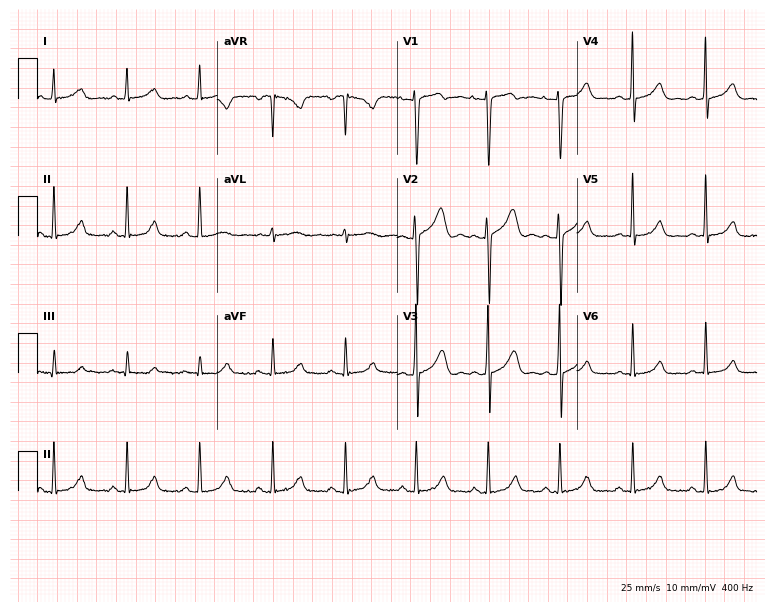
12-lead ECG from a female, 30 years old (7.3-second recording at 400 Hz). Recorded interpretation: within normal limits.